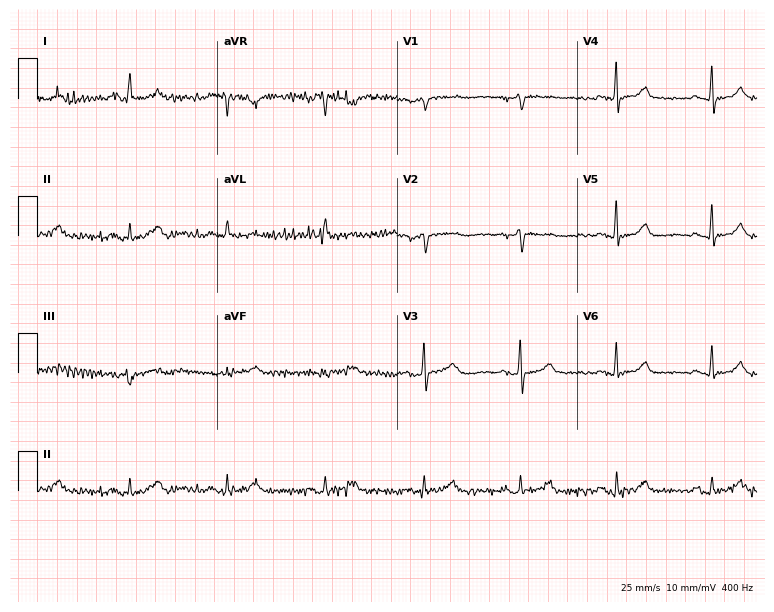
12-lead ECG (7.3-second recording at 400 Hz) from a woman, 66 years old. Screened for six findings — first-degree AV block, right bundle branch block, left bundle branch block, sinus bradycardia, atrial fibrillation, sinus tachycardia — none is recorded.